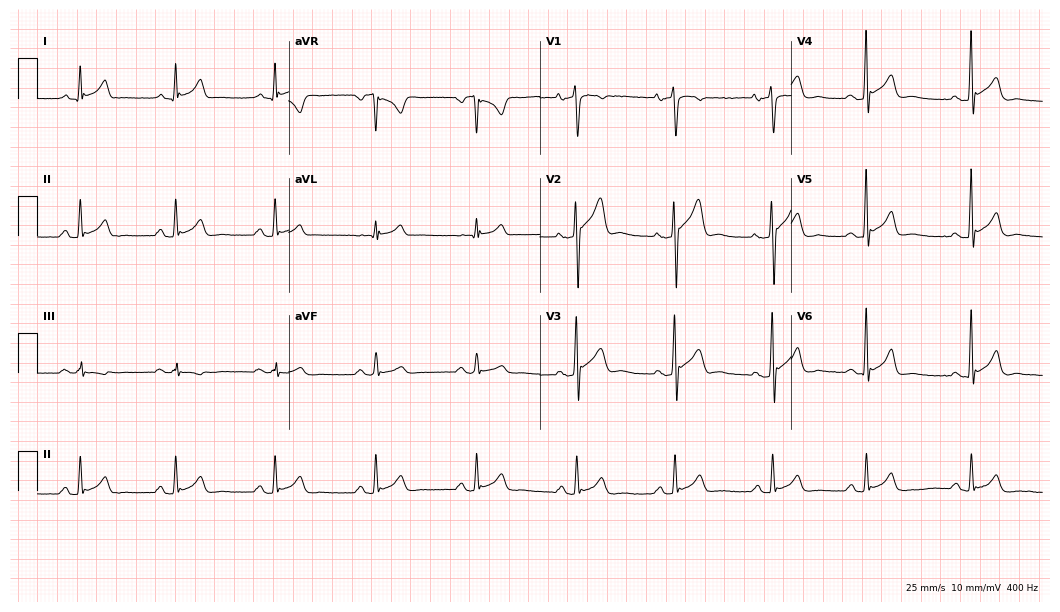
Electrocardiogram (10.2-second recording at 400 Hz), a male patient, 35 years old. Overall reading on record: normal ECG.